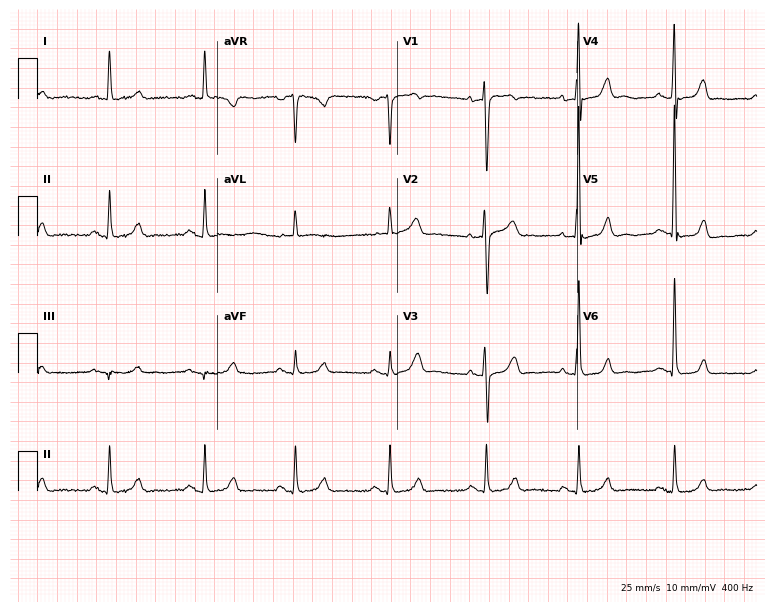
12-lead ECG from a 70-year-old male. Recorded interpretation: within normal limits.